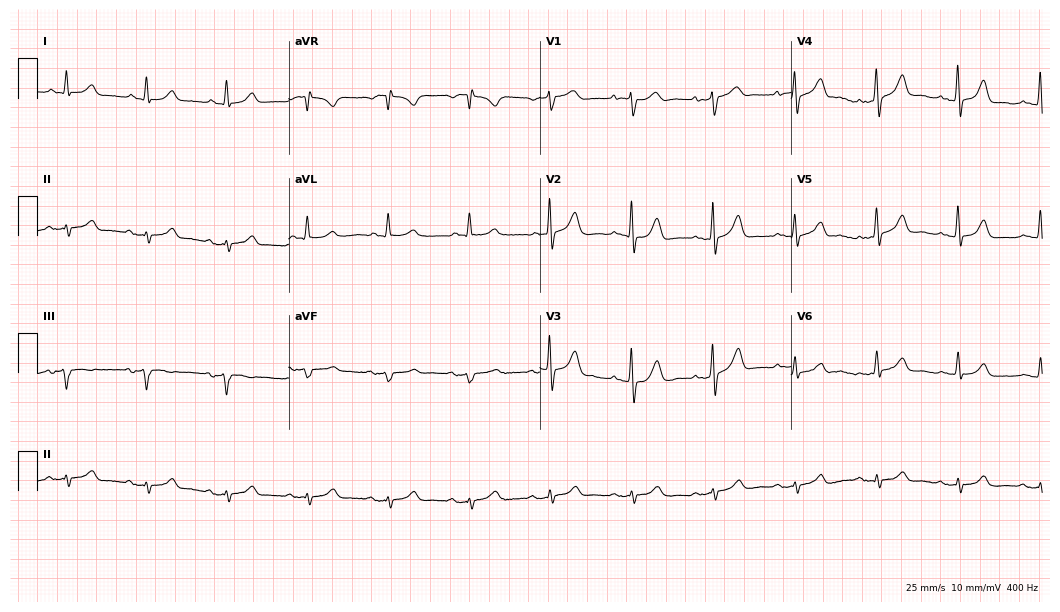
Electrocardiogram (10.2-second recording at 400 Hz), a male, 71 years old. Of the six screened findings (first-degree AV block, right bundle branch block (RBBB), left bundle branch block (LBBB), sinus bradycardia, atrial fibrillation (AF), sinus tachycardia), none is recorded. Findings outside these six are not listed.